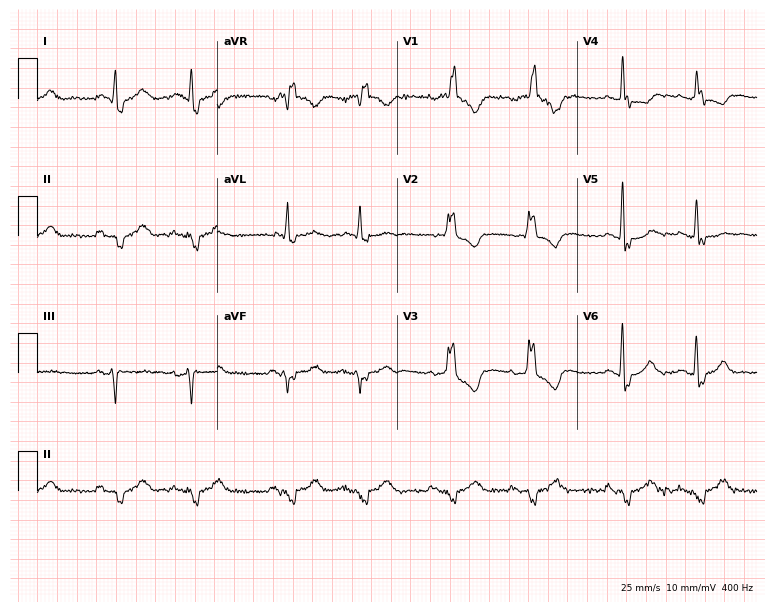
Standard 12-lead ECG recorded from a 73-year-old male. The tracing shows right bundle branch block (RBBB).